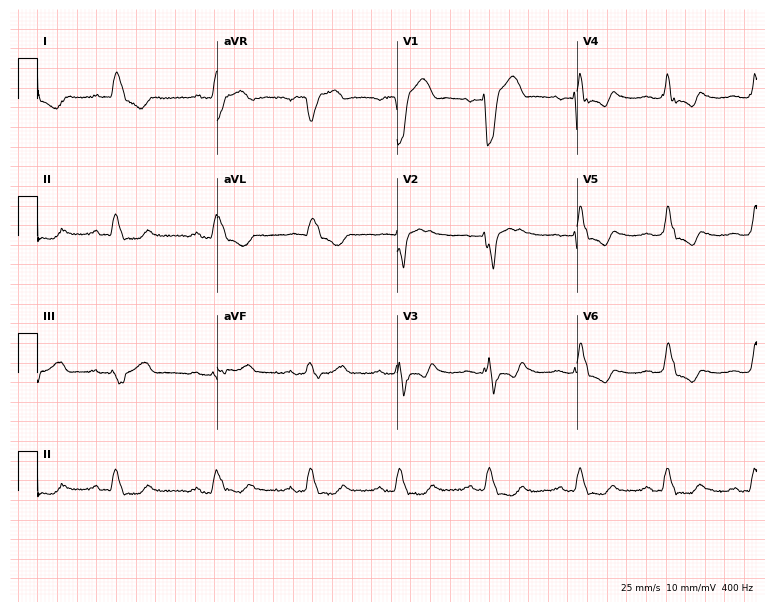
Electrocardiogram (7.3-second recording at 400 Hz), a man, 66 years old. Interpretation includes left bundle branch block.